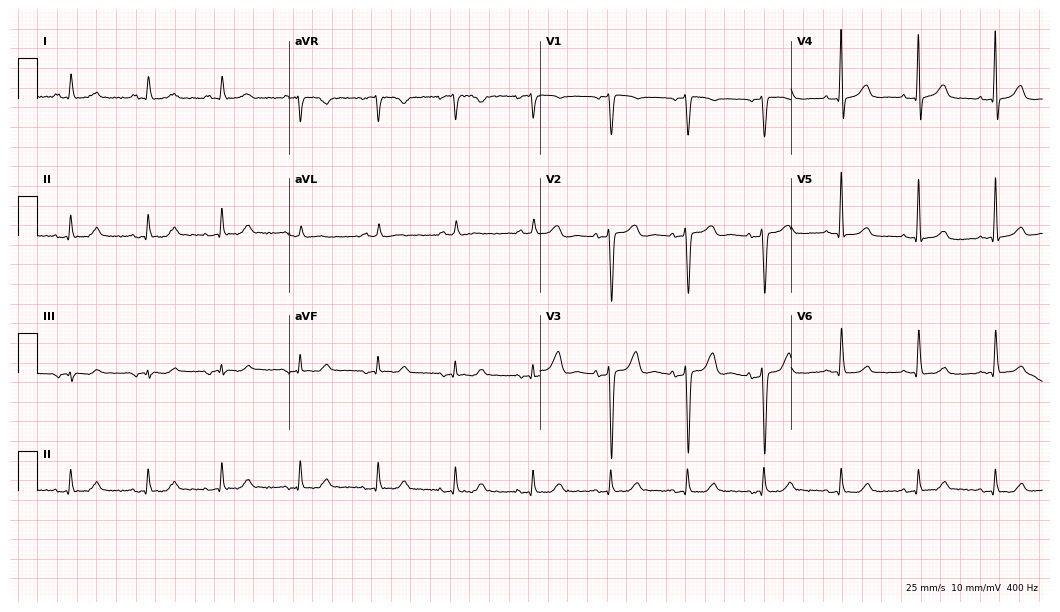
Electrocardiogram (10.2-second recording at 400 Hz), a 72-year-old female patient. Overall reading on record: normal ECG.